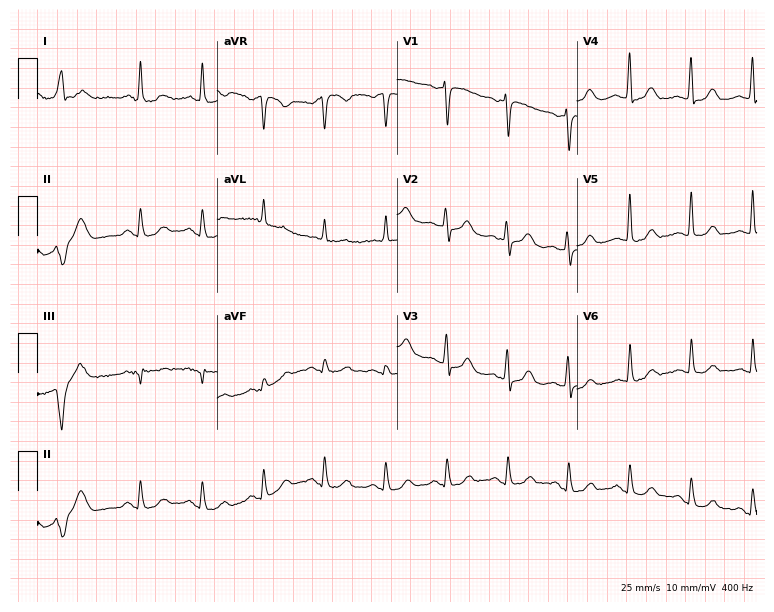
Standard 12-lead ECG recorded from a woman, 84 years old. None of these six findings is recorded: first-degree AV block, right bundle branch block (RBBB), left bundle branch block (LBBB), sinus bradycardia, atrial fibrillation (AF), sinus tachycardia. Only these six findings were labelled.